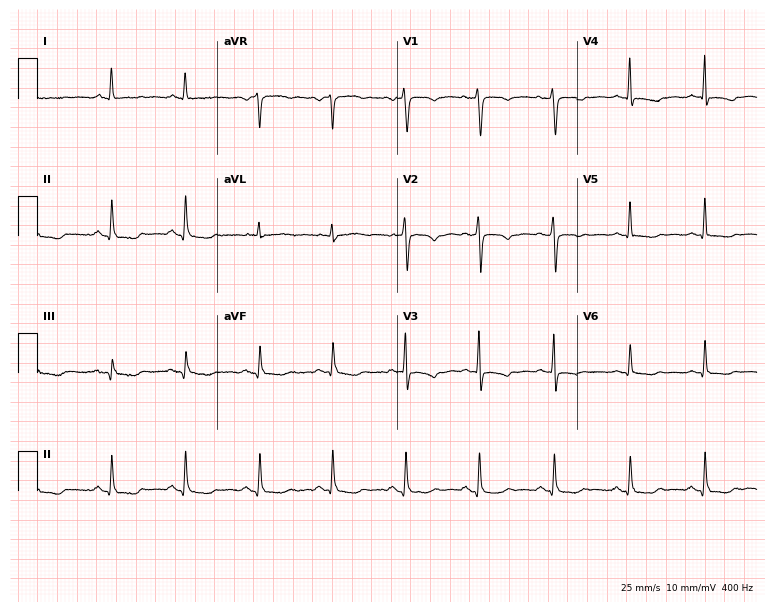
12-lead ECG from a 63-year-old female patient. Labelled as a normal ECG.